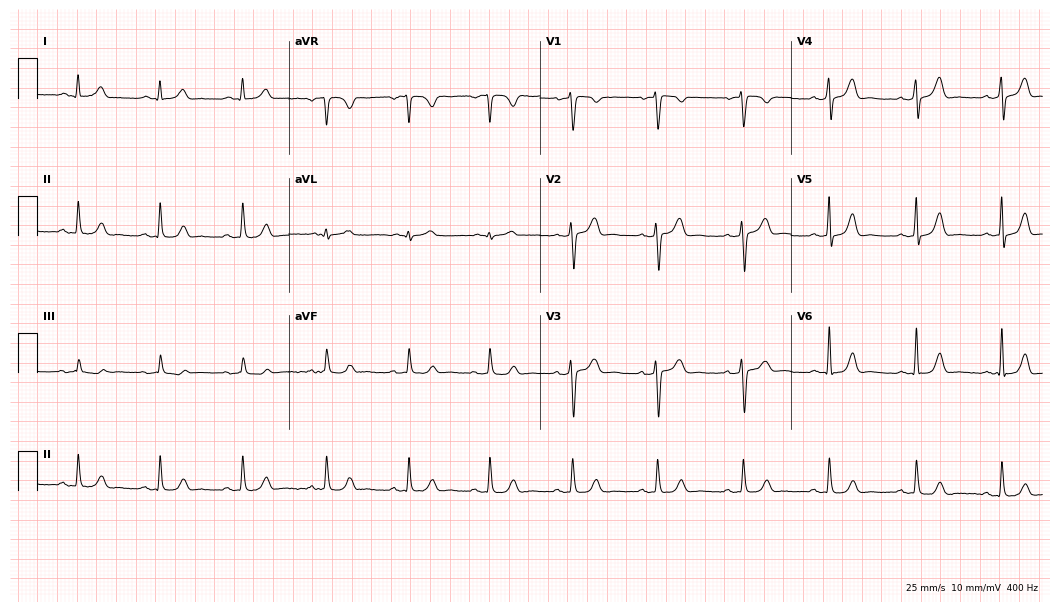
Electrocardiogram (10.2-second recording at 400 Hz), a 43-year-old woman. Overall reading on record: normal ECG.